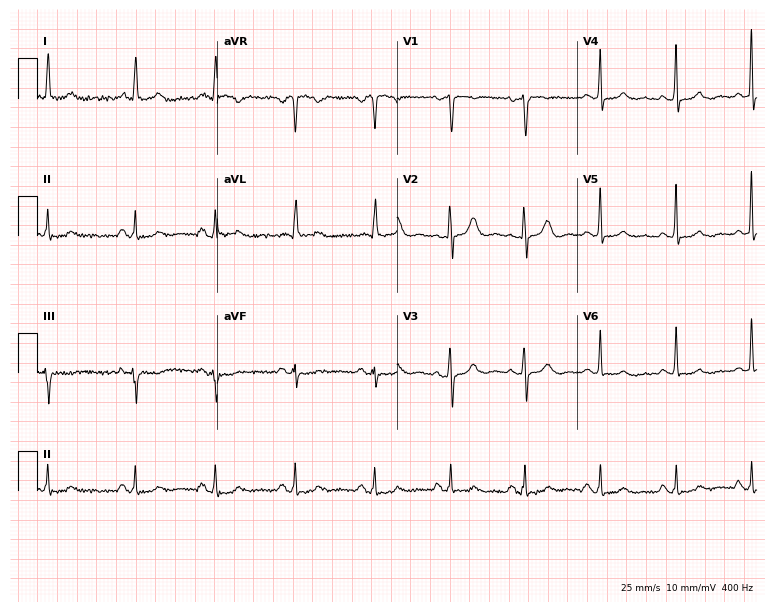
Resting 12-lead electrocardiogram (7.3-second recording at 400 Hz). Patient: a female, 54 years old. Read as a normal ECG.